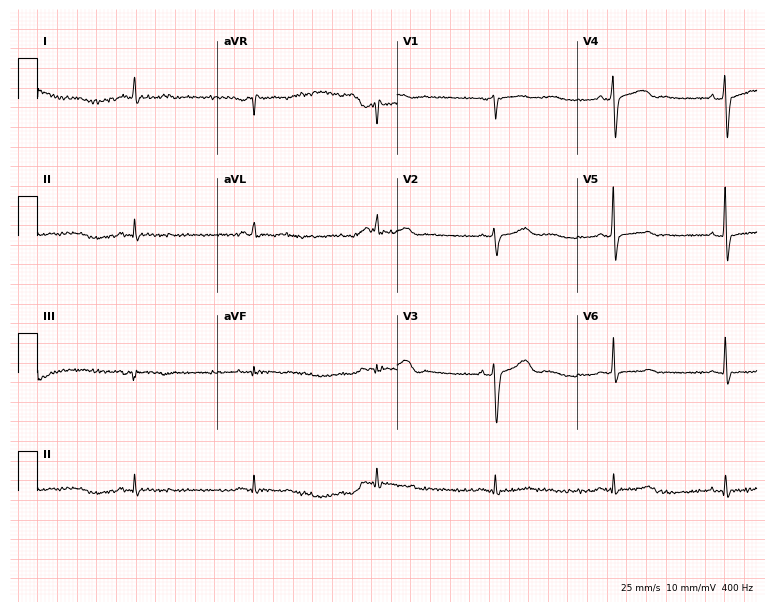
Resting 12-lead electrocardiogram (7.3-second recording at 400 Hz). Patient: a man, 72 years old. The tracing shows sinus bradycardia (a sinus rate of 50 beats per minute or less).